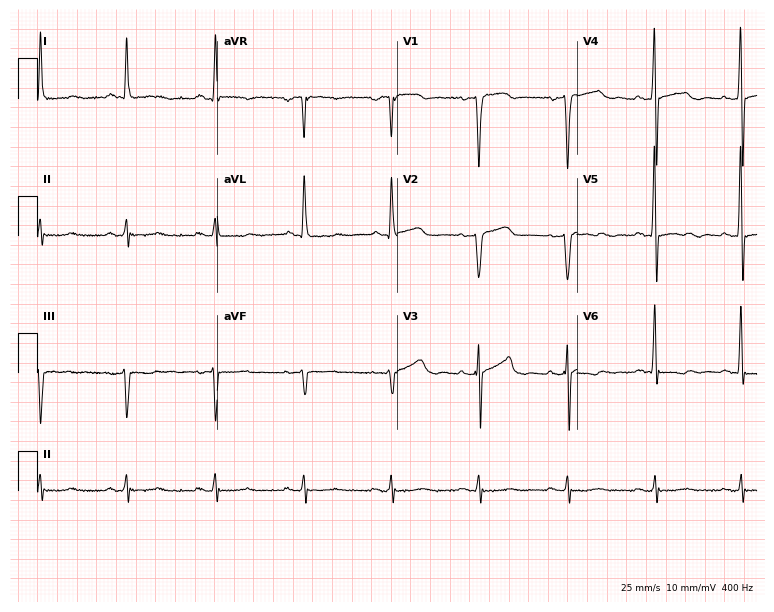
12-lead ECG (7.3-second recording at 400 Hz) from a woman, 58 years old. Screened for six findings — first-degree AV block, right bundle branch block, left bundle branch block, sinus bradycardia, atrial fibrillation, sinus tachycardia — none is recorded. Only these six findings were labelled.